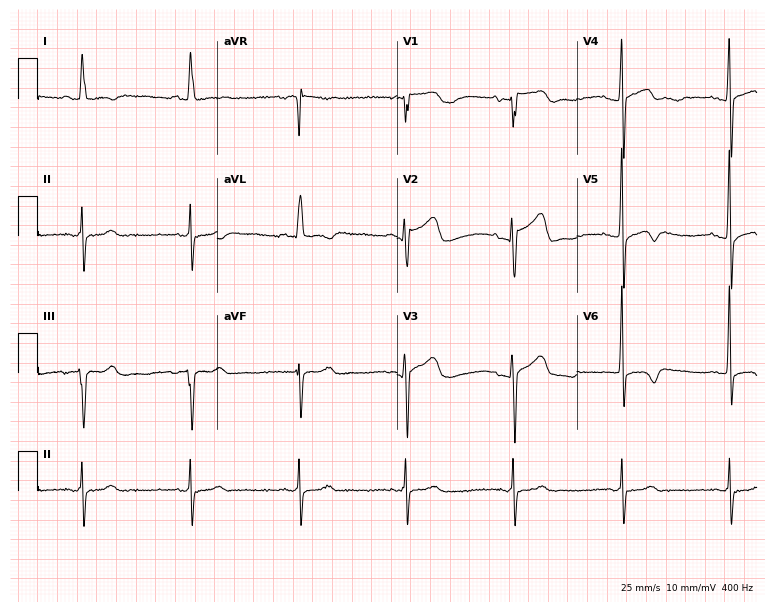
Resting 12-lead electrocardiogram (7.3-second recording at 400 Hz). Patient: a 63-year-old male. None of these six findings is recorded: first-degree AV block, right bundle branch block, left bundle branch block, sinus bradycardia, atrial fibrillation, sinus tachycardia. Only these six findings were labelled.